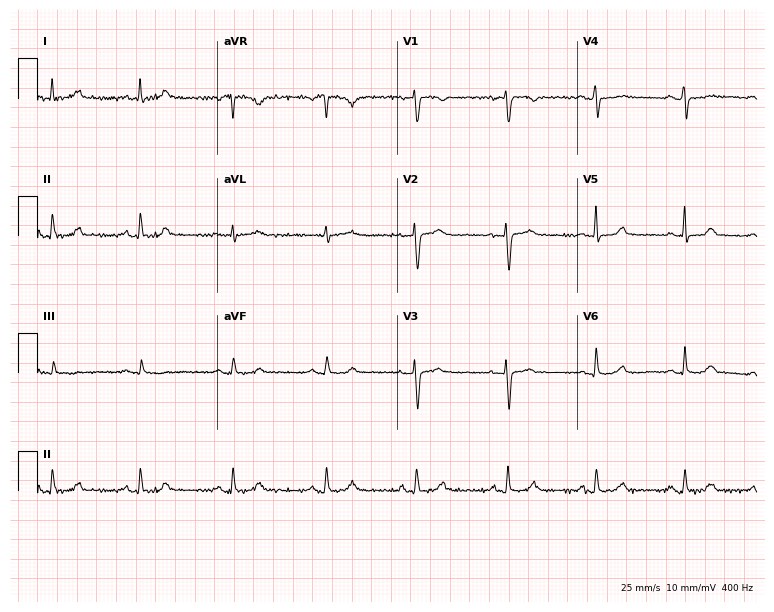
ECG (7.3-second recording at 400 Hz) — a 39-year-old female. Screened for six findings — first-degree AV block, right bundle branch block, left bundle branch block, sinus bradycardia, atrial fibrillation, sinus tachycardia — none is recorded. Findings outside these six are not listed.